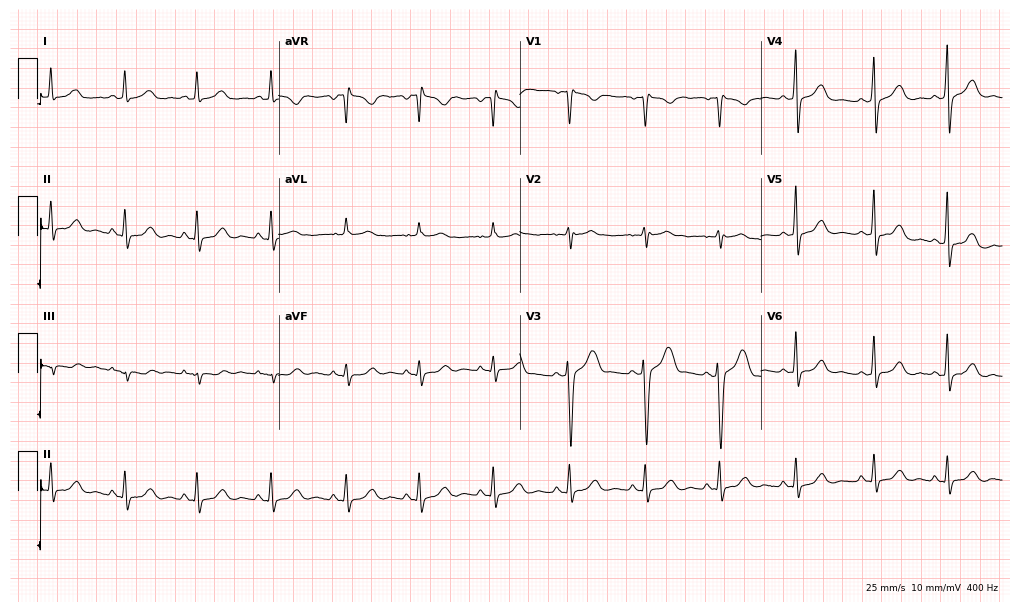
Standard 12-lead ECG recorded from a female patient, 49 years old (9.8-second recording at 400 Hz). Read as a normal ECG.